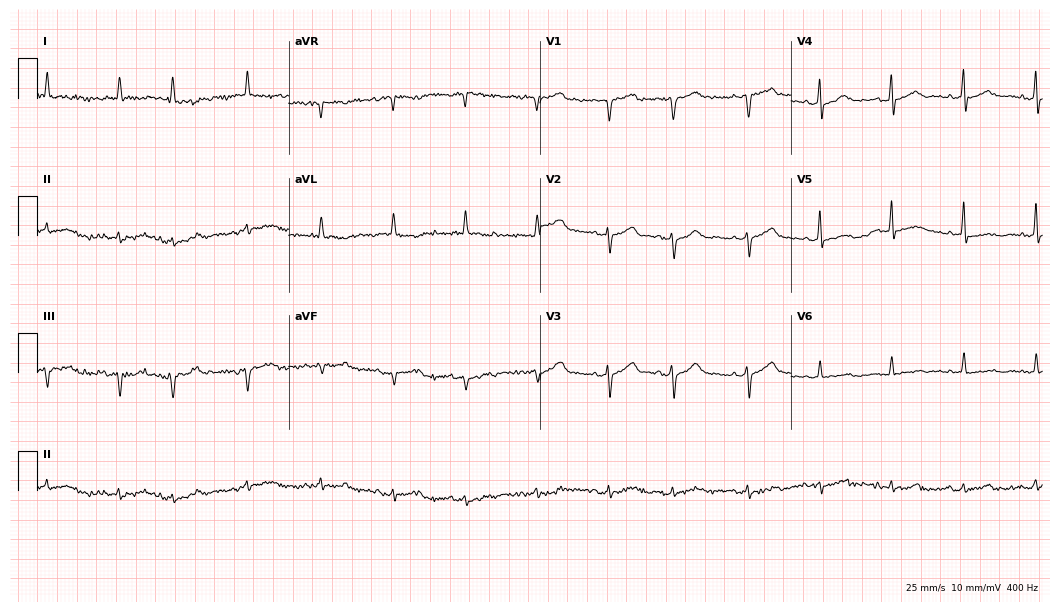
12-lead ECG from a male patient, 80 years old. No first-degree AV block, right bundle branch block, left bundle branch block, sinus bradycardia, atrial fibrillation or sinus tachycardia recorded for this tracing. Findings outside these six are not listed.